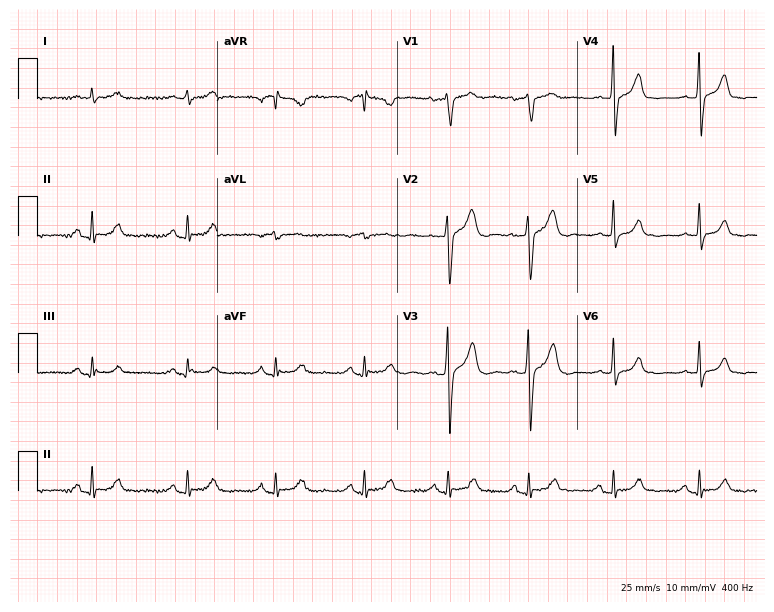
12-lead ECG from a 57-year-old man. Screened for six findings — first-degree AV block, right bundle branch block (RBBB), left bundle branch block (LBBB), sinus bradycardia, atrial fibrillation (AF), sinus tachycardia — none is recorded.